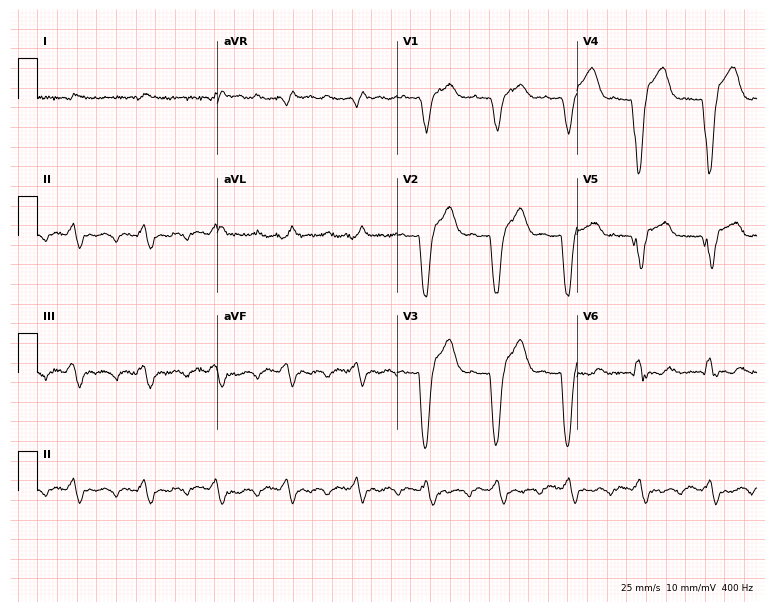
Standard 12-lead ECG recorded from a male patient, 68 years old (7.3-second recording at 400 Hz). The tracing shows left bundle branch block (LBBB).